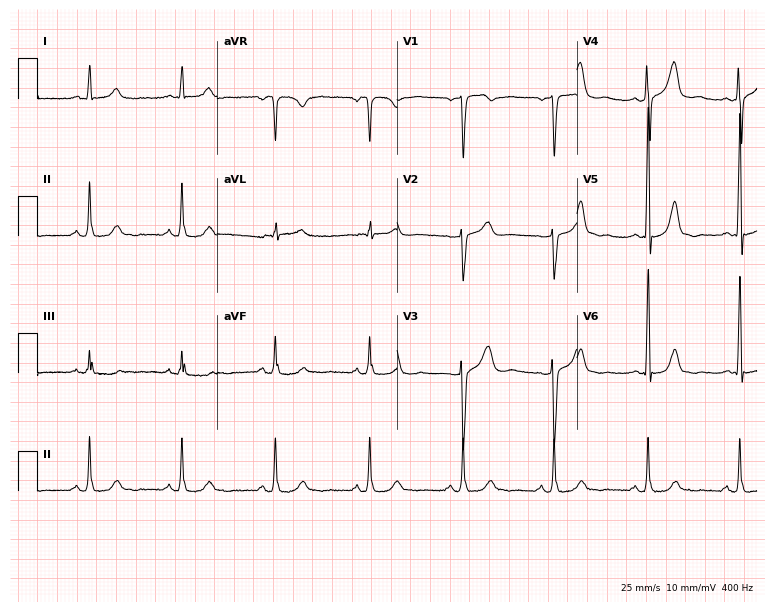
ECG — a 51-year-old man. Labelled as a normal ECG.